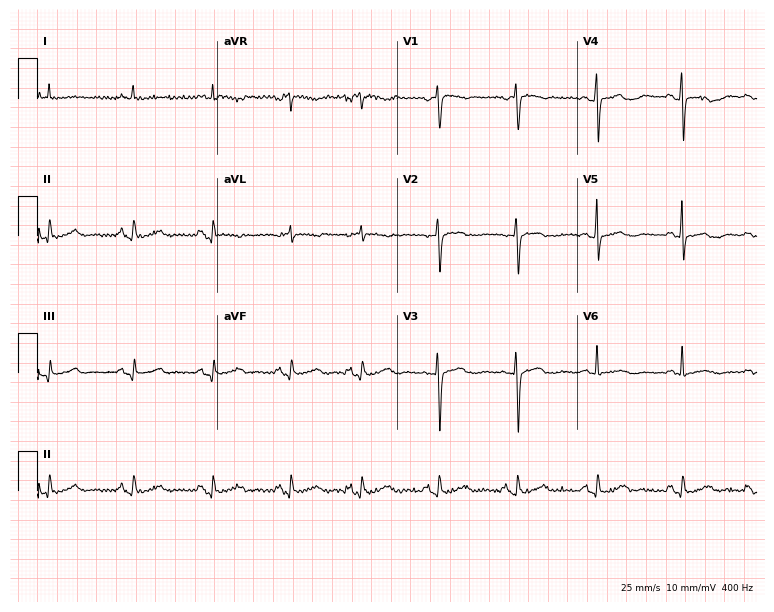
Electrocardiogram, a 72-year-old female. Of the six screened findings (first-degree AV block, right bundle branch block (RBBB), left bundle branch block (LBBB), sinus bradycardia, atrial fibrillation (AF), sinus tachycardia), none is recorded.